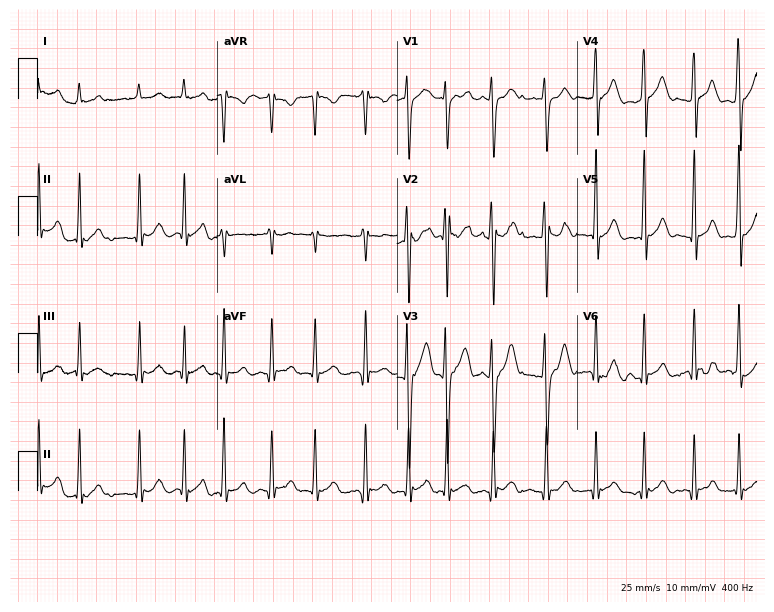
Standard 12-lead ECG recorded from a 24-year-old male. None of these six findings is recorded: first-degree AV block, right bundle branch block (RBBB), left bundle branch block (LBBB), sinus bradycardia, atrial fibrillation (AF), sinus tachycardia.